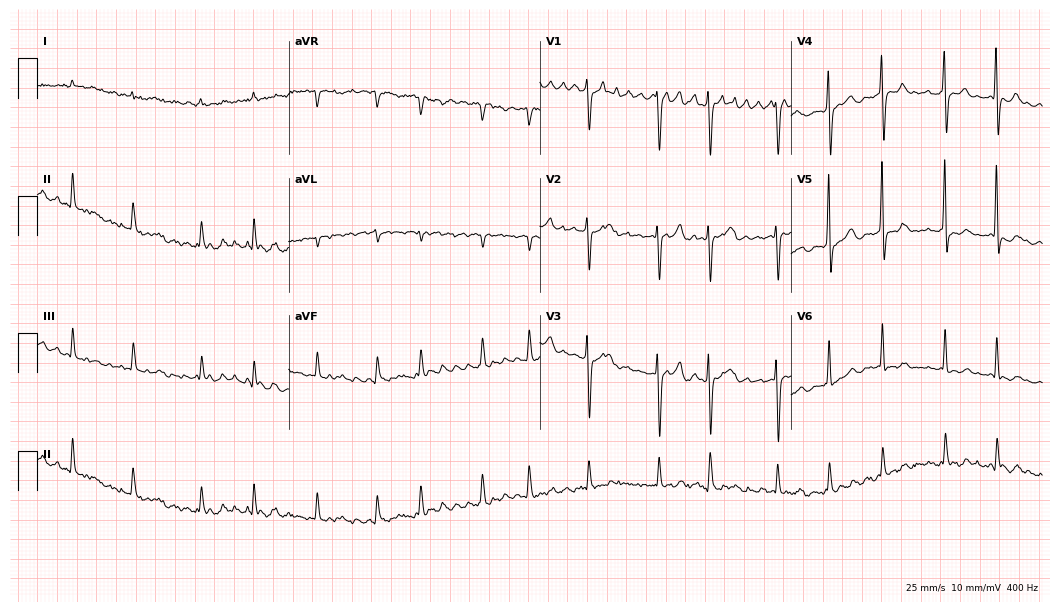
12-lead ECG from a 71-year-old woman (10.2-second recording at 400 Hz). Shows sinus tachycardia (a sinus rate of 100 beats per minute or more).